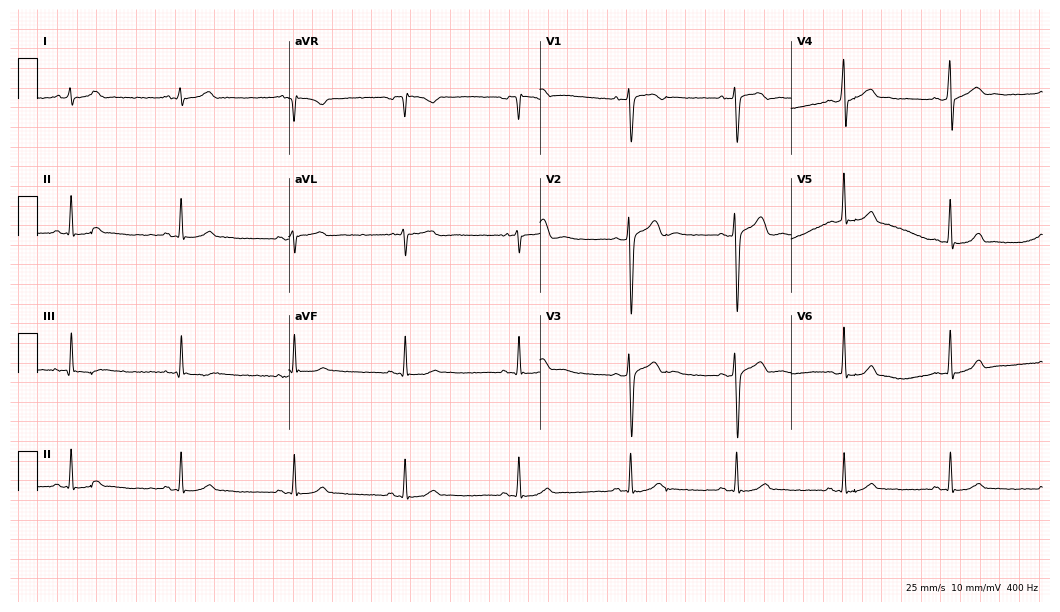
ECG — a 23-year-old man. Labelled as a normal ECG.